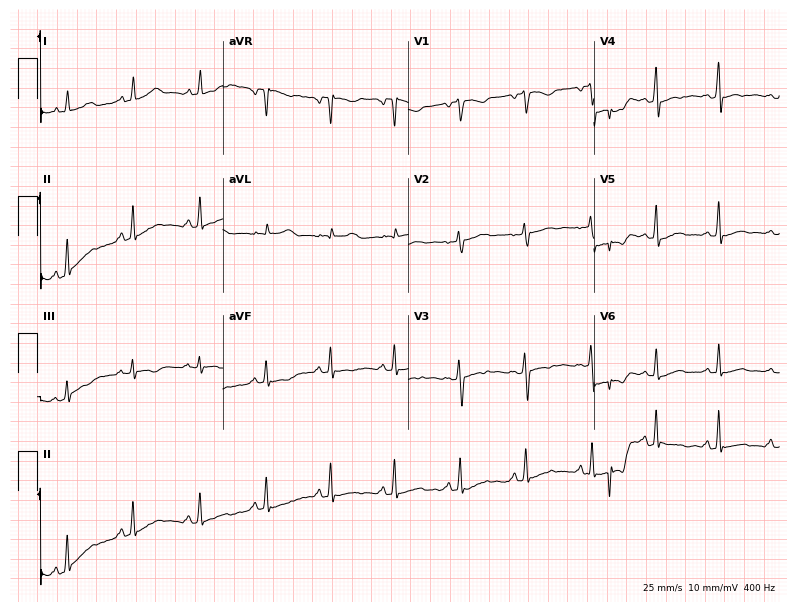
Resting 12-lead electrocardiogram (7.6-second recording at 400 Hz). Patient: a female, 21 years old. None of these six findings is recorded: first-degree AV block, right bundle branch block, left bundle branch block, sinus bradycardia, atrial fibrillation, sinus tachycardia.